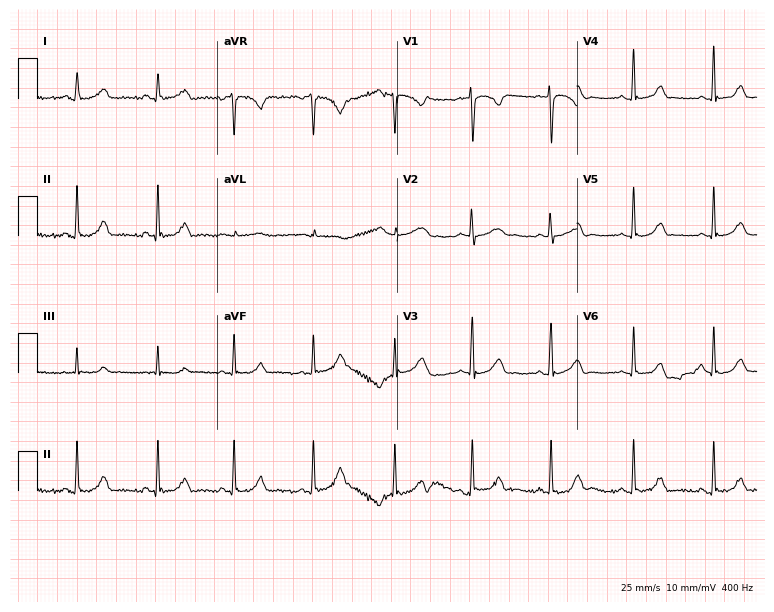
Electrocardiogram (7.3-second recording at 400 Hz), a female patient, 20 years old. Overall reading on record: normal ECG.